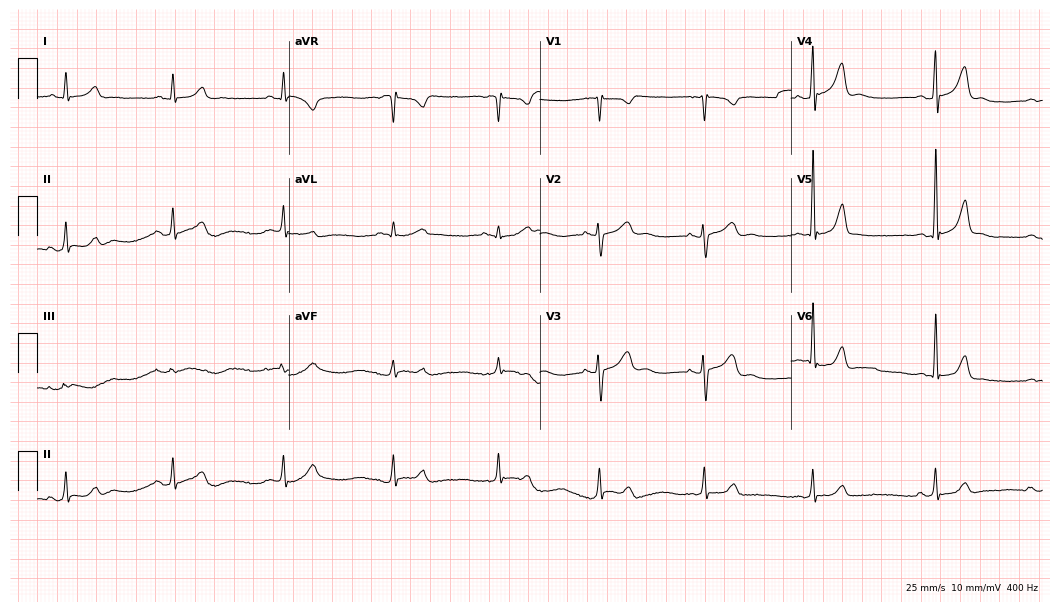
Electrocardiogram (10.2-second recording at 400 Hz), a woman, 19 years old. Overall reading on record: normal ECG.